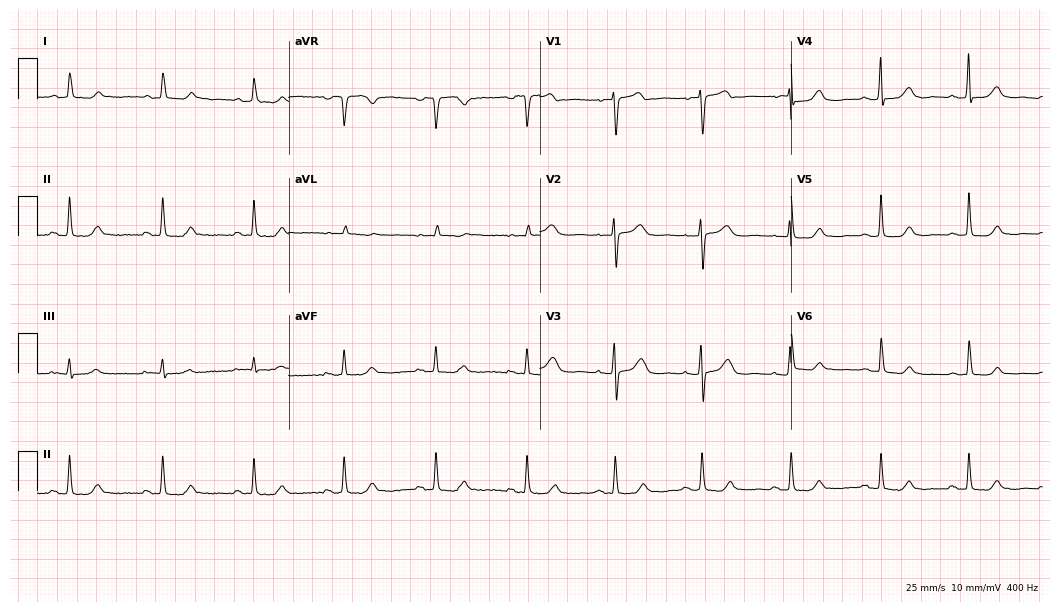
Electrocardiogram (10.2-second recording at 400 Hz), a 78-year-old female. Overall reading on record: normal ECG.